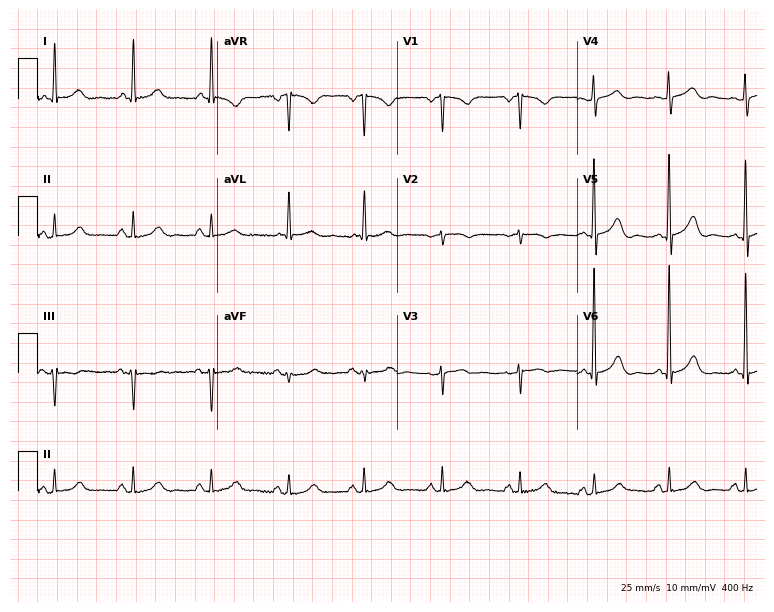
ECG — a woman, 74 years old. Labelled as a normal ECG.